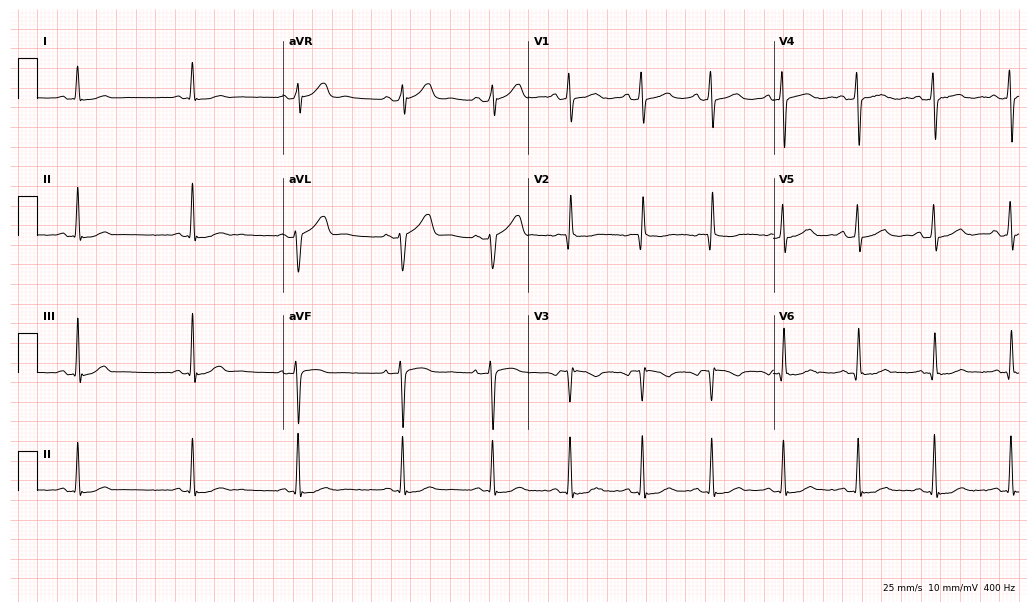
Resting 12-lead electrocardiogram (10-second recording at 400 Hz). Patient: a 57-year-old female. None of these six findings is recorded: first-degree AV block, right bundle branch block, left bundle branch block, sinus bradycardia, atrial fibrillation, sinus tachycardia. Other findings, if any, are not listed.